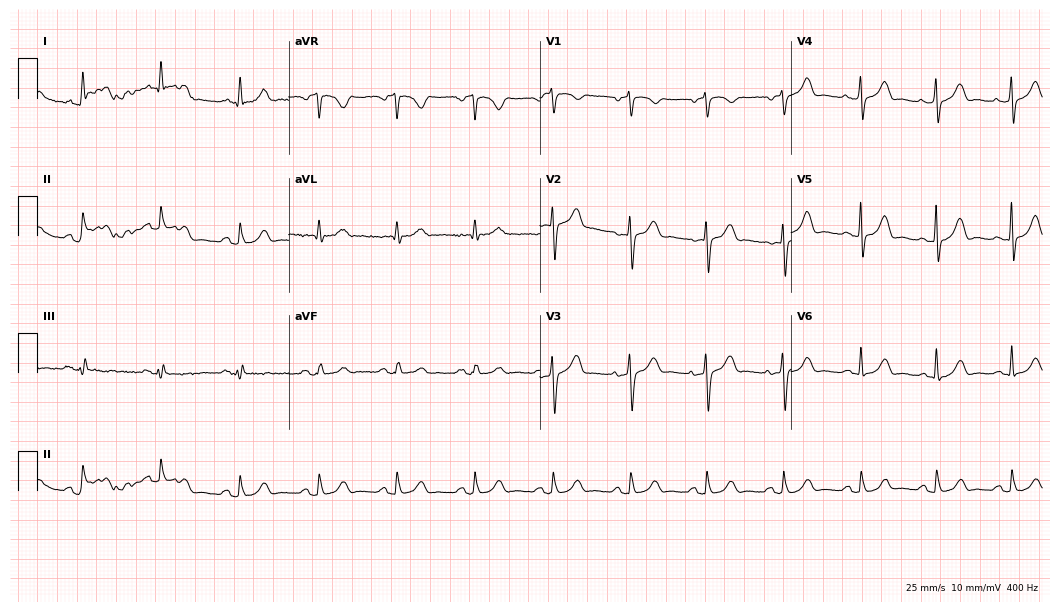
12-lead ECG (10.2-second recording at 400 Hz) from a 57-year-old woman. Labelled as a normal ECG.